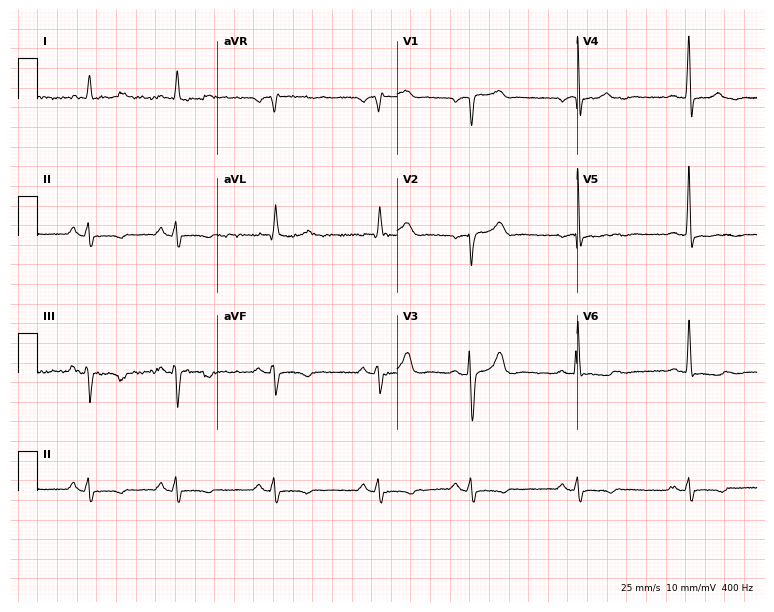
12-lead ECG from a 68-year-old male. Screened for six findings — first-degree AV block, right bundle branch block, left bundle branch block, sinus bradycardia, atrial fibrillation, sinus tachycardia — none is recorded.